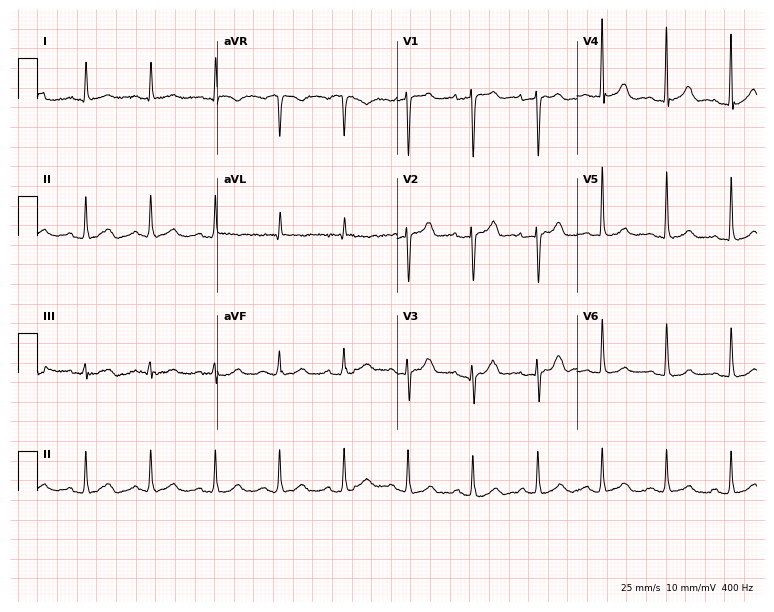
Resting 12-lead electrocardiogram. Patient: a woman, 69 years old. Read as a normal ECG.